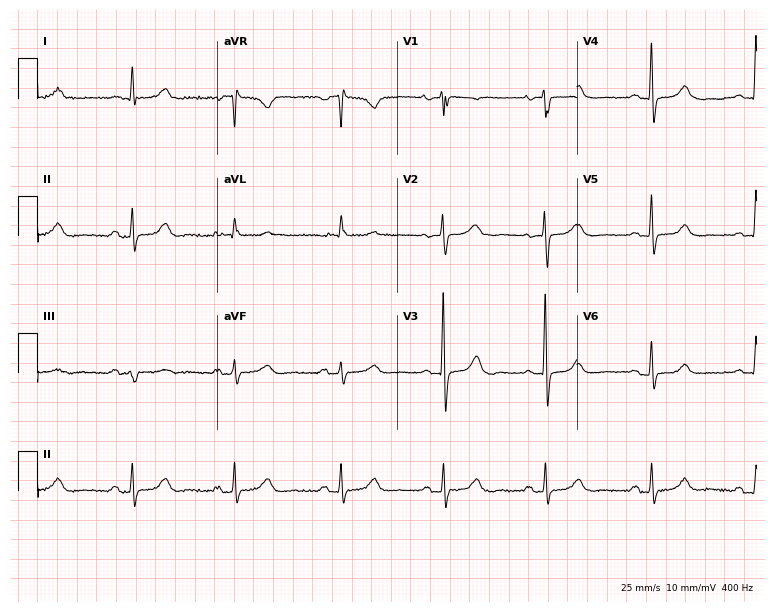
12-lead ECG from a female patient, 76 years old (7.3-second recording at 400 Hz). Recorded interpretation: within normal limits.